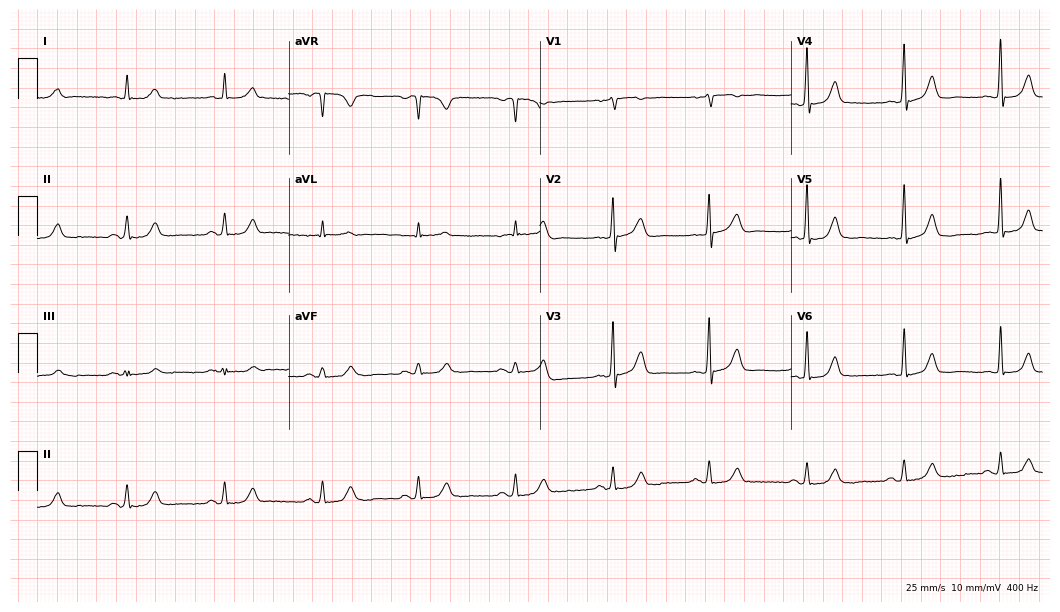
12-lead ECG from a man, 74 years old. Labelled as a normal ECG.